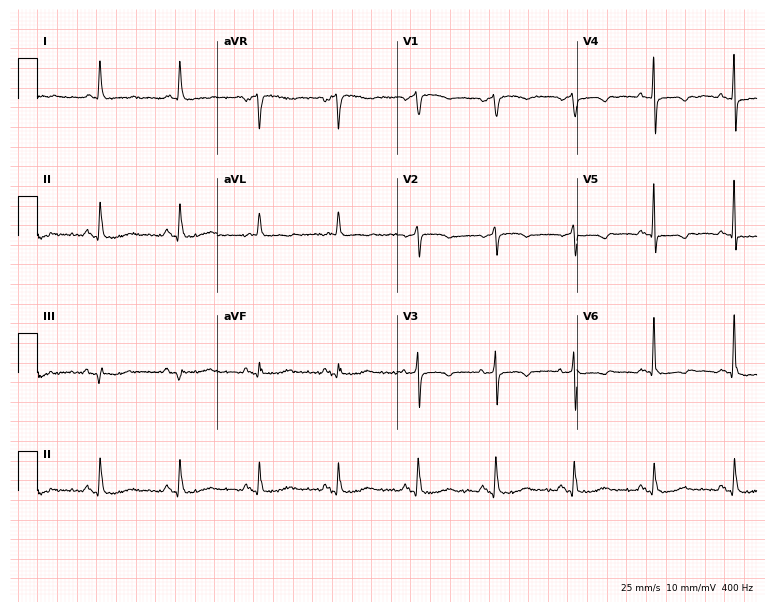
12-lead ECG (7.3-second recording at 400 Hz) from an 85-year-old female patient. Labelled as a normal ECG.